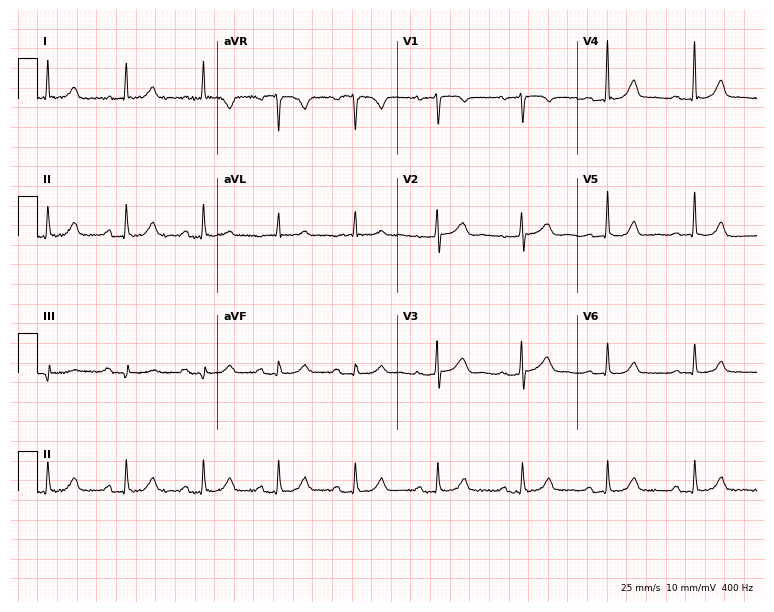
Standard 12-lead ECG recorded from a 63-year-old female (7.3-second recording at 400 Hz). Read as a normal ECG.